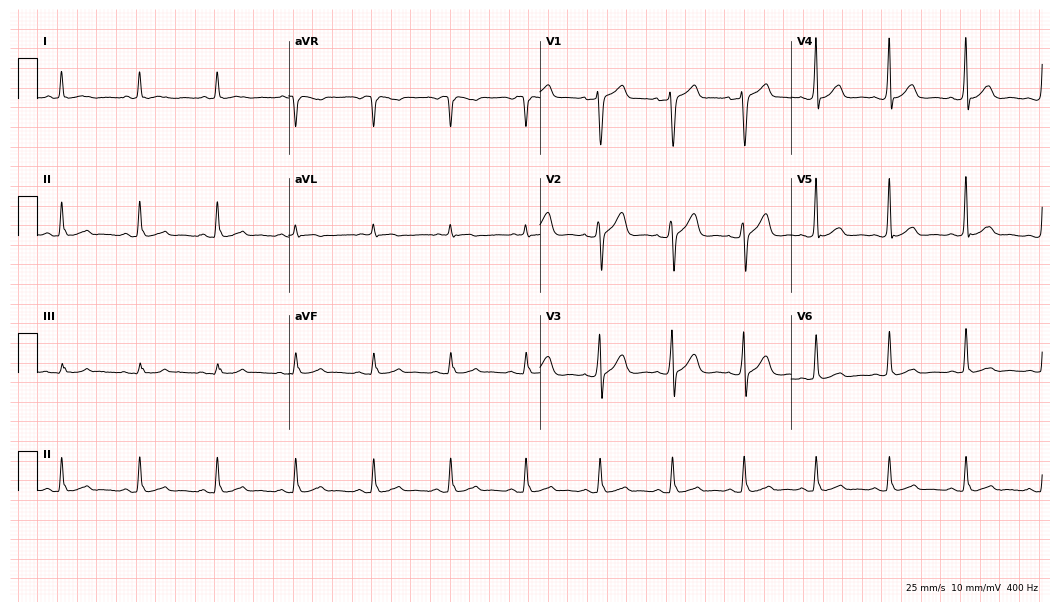
12-lead ECG from a 59-year-old male patient. Labelled as a normal ECG.